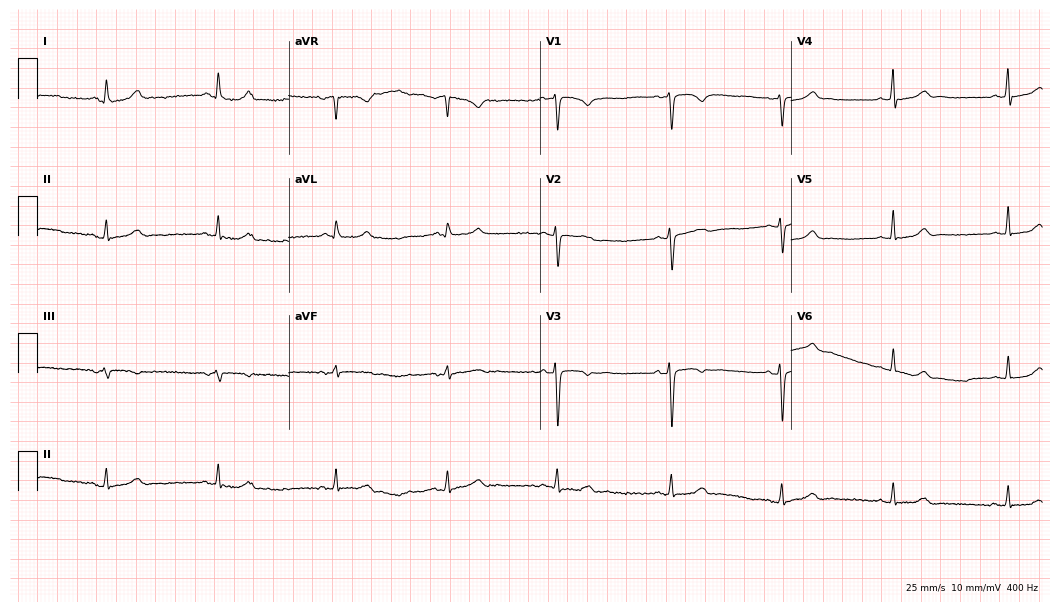
Resting 12-lead electrocardiogram (10.2-second recording at 400 Hz). Patient: a female, 34 years old. Read as a normal ECG.